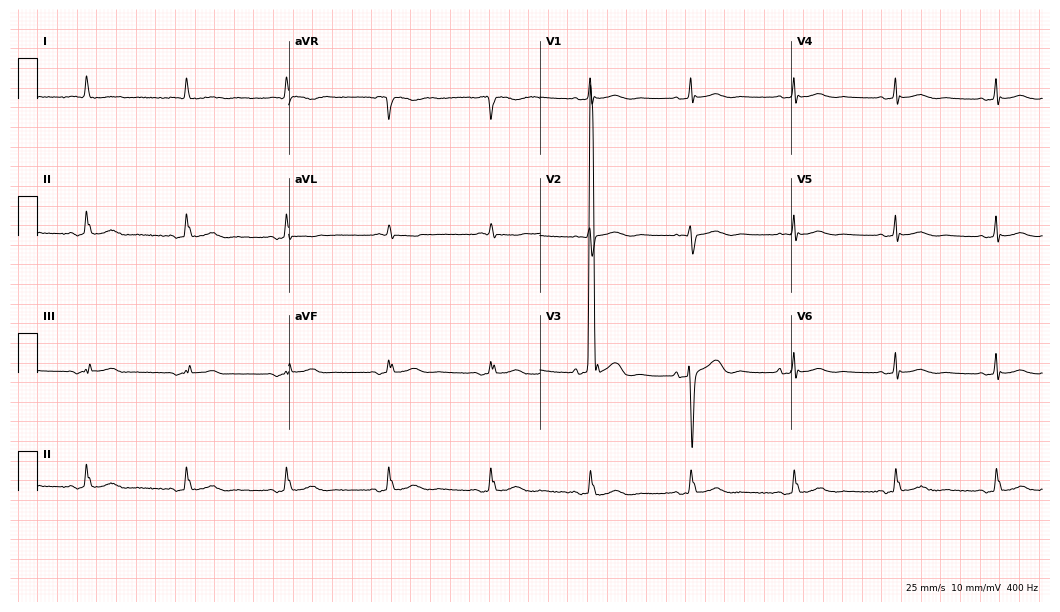
ECG (10.2-second recording at 400 Hz) — a female patient, 81 years old. Screened for six findings — first-degree AV block, right bundle branch block, left bundle branch block, sinus bradycardia, atrial fibrillation, sinus tachycardia — none is recorded.